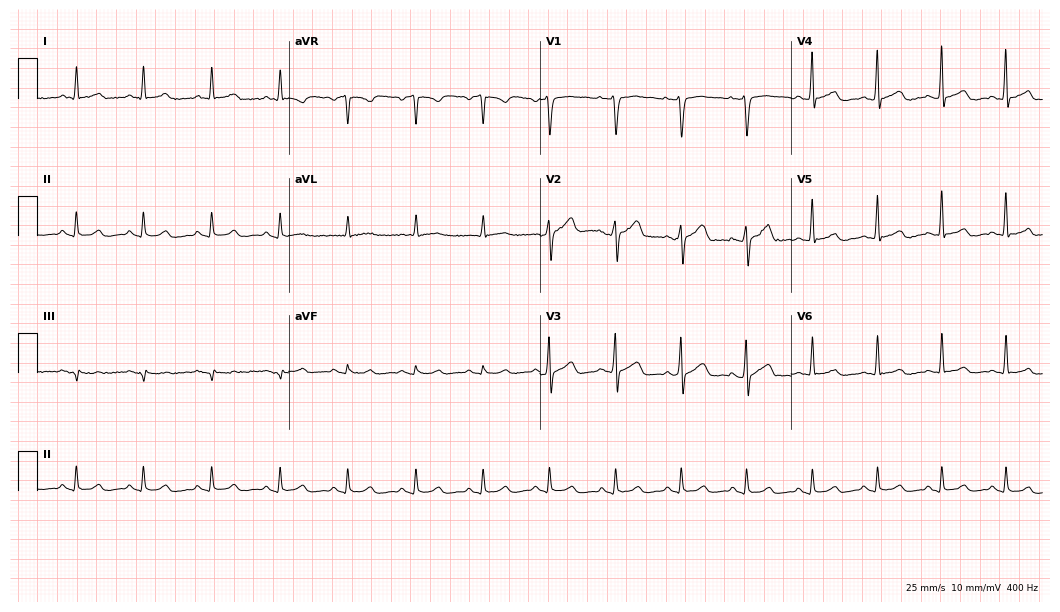
ECG — a male patient, 37 years old. Labelled as a normal ECG.